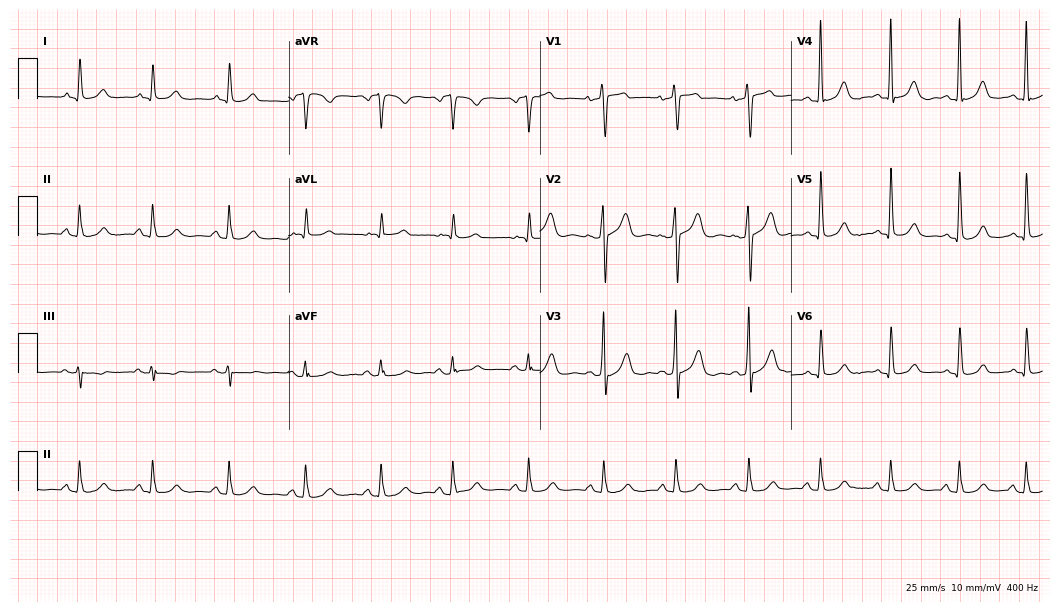
Resting 12-lead electrocardiogram (10.2-second recording at 400 Hz). Patient: a 72-year-old male. Read as a normal ECG.